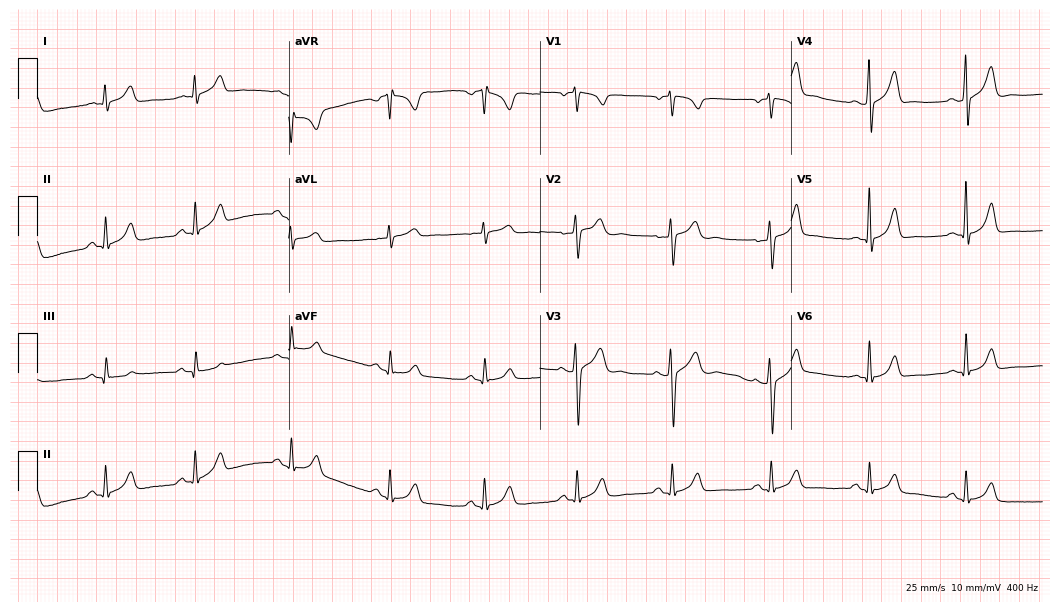
ECG (10.2-second recording at 400 Hz) — a male, 36 years old. Screened for six findings — first-degree AV block, right bundle branch block, left bundle branch block, sinus bradycardia, atrial fibrillation, sinus tachycardia — none is recorded.